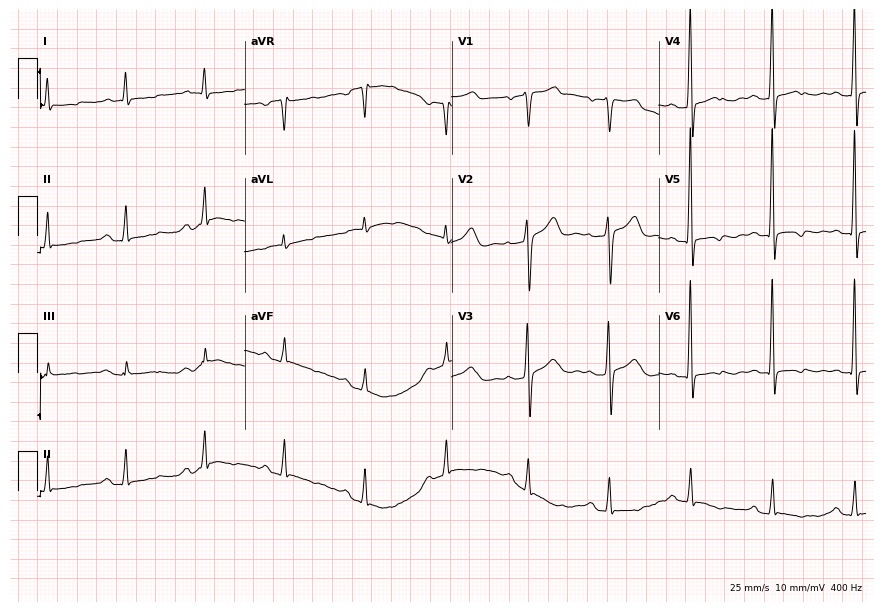
12-lead ECG from a 59-year-old man. No first-degree AV block, right bundle branch block (RBBB), left bundle branch block (LBBB), sinus bradycardia, atrial fibrillation (AF) or sinus tachycardia recorded for this tracing.